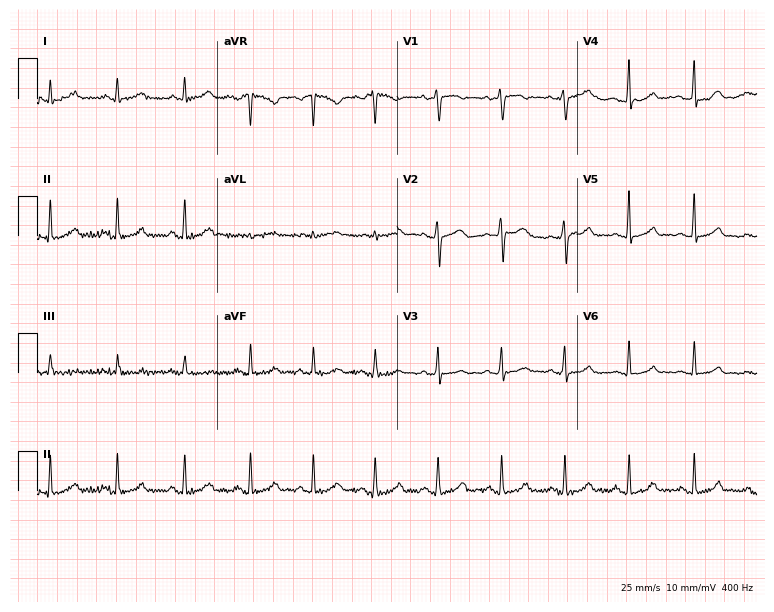
ECG (7.3-second recording at 400 Hz) — a woman, 36 years old. Labelled as a normal ECG.